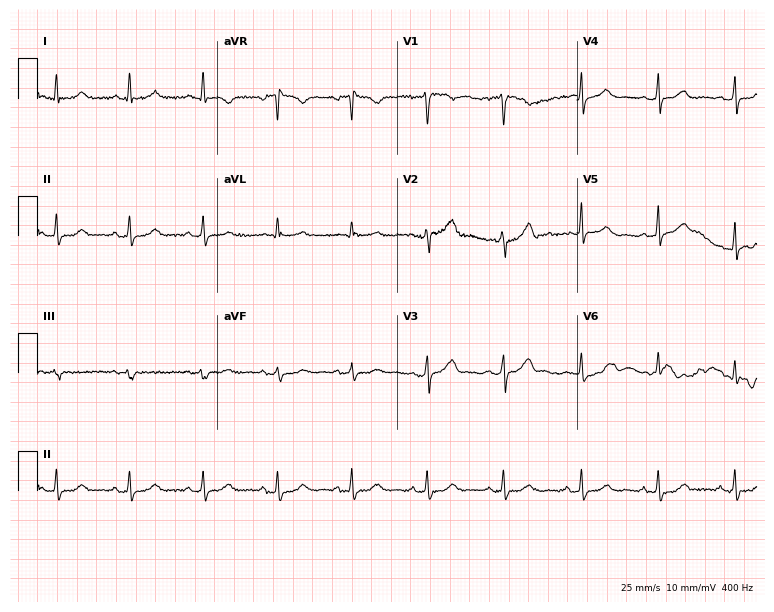
Standard 12-lead ECG recorded from a 48-year-old female patient (7.3-second recording at 400 Hz). None of these six findings is recorded: first-degree AV block, right bundle branch block, left bundle branch block, sinus bradycardia, atrial fibrillation, sinus tachycardia.